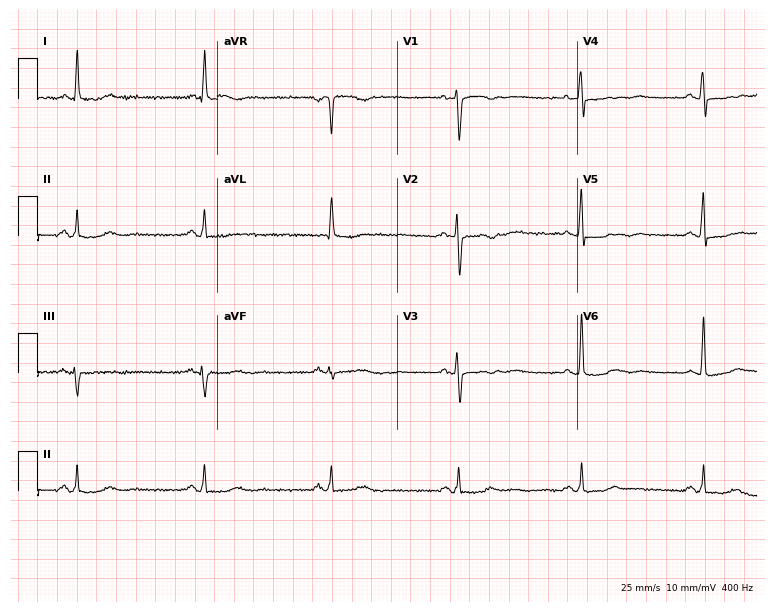
Electrocardiogram, a woman, 77 years old. Interpretation includes sinus bradycardia (a sinus rate of 50 beats per minute or less).